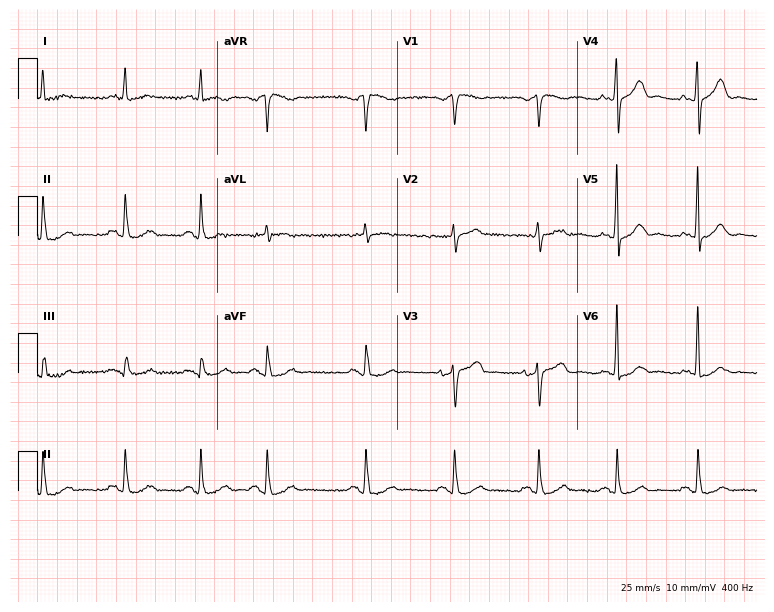
ECG — a male, 72 years old. Labelled as a normal ECG.